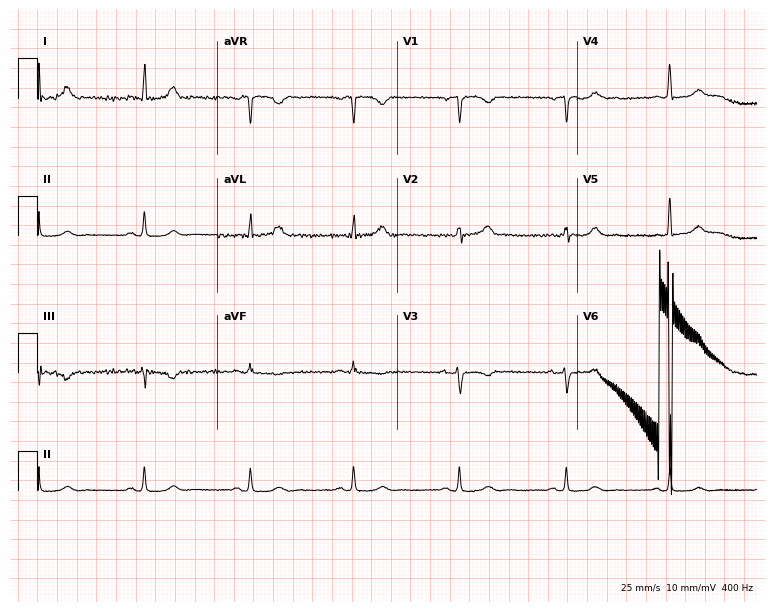
12-lead ECG from a female, 46 years old (7.3-second recording at 400 Hz). No first-degree AV block, right bundle branch block, left bundle branch block, sinus bradycardia, atrial fibrillation or sinus tachycardia recorded for this tracing.